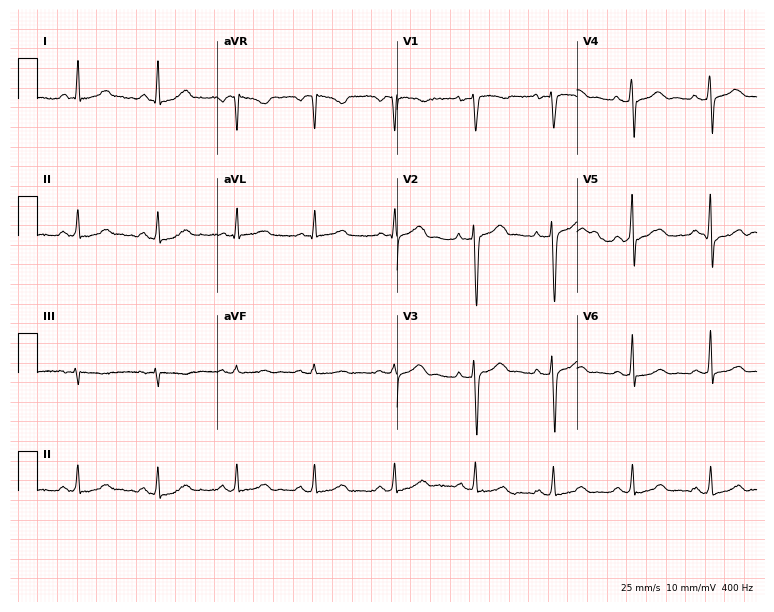
Standard 12-lead ECG recorded from a 46-year-old female. Read as a normal ECG.